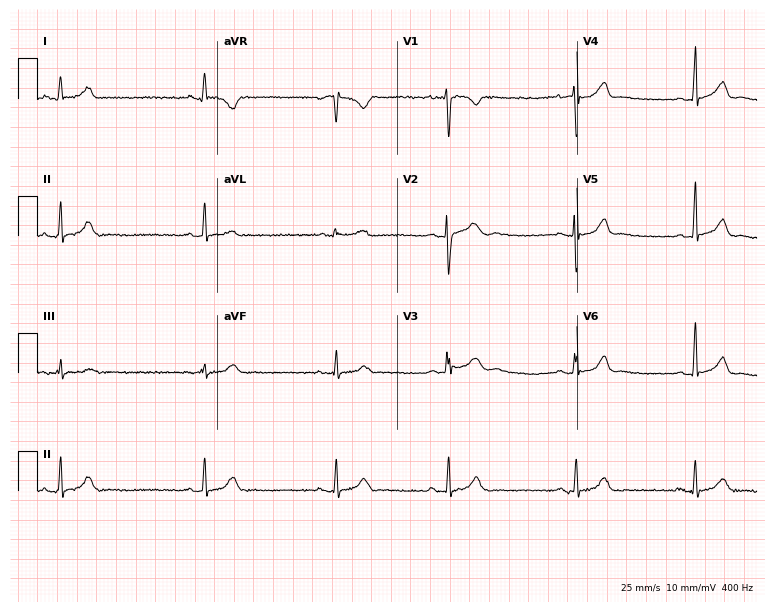
ECG (7.3-second recording at 400 Hz) — a female, 29 years old. Findings include sinus bradycardia (a sinus rate of 50 beats per minute or less).